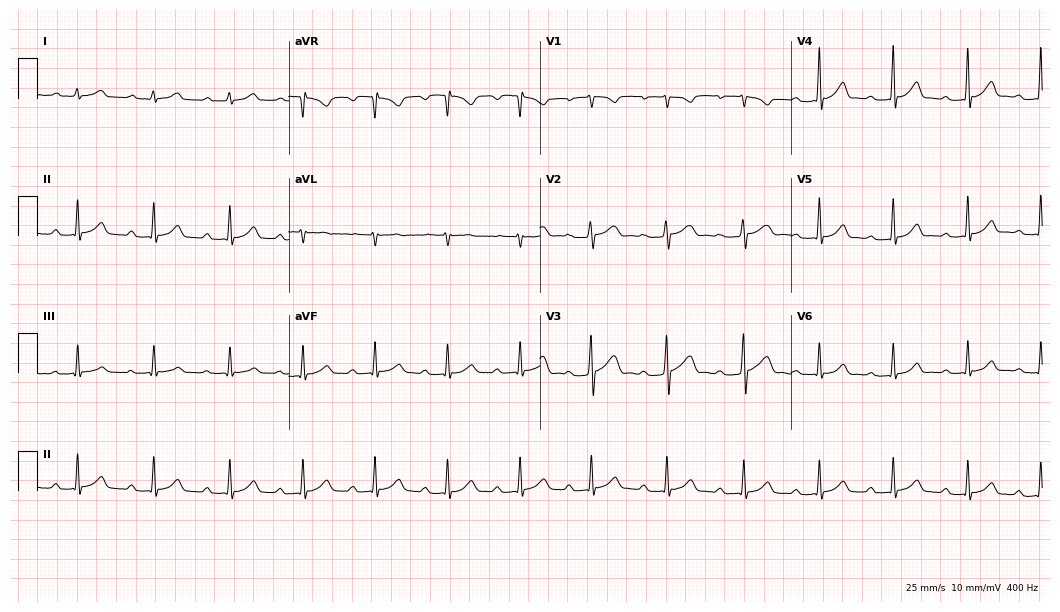
Standard 12-lead ECG recorded from a woman, 19 years old. The tracing shows first-degree AV block.